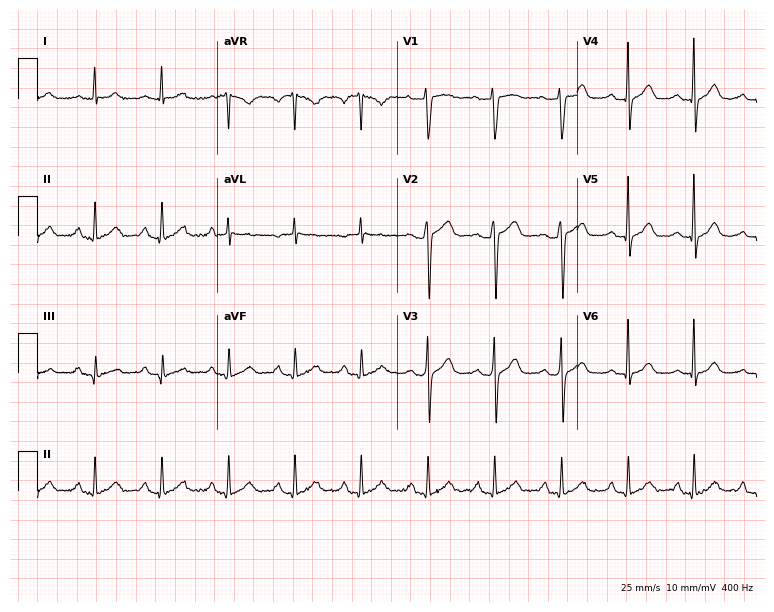
12-lead ECG (7.3-second recording at 400 Hz) from a 41-year-old woman. Screened for six findings — first-degree AV block, right bundle branch block (RBBB), left bundle branch block (LBBB), sinus bradycardia, atrial fibrillation (AF), sinus tachycardia — none is recorded.